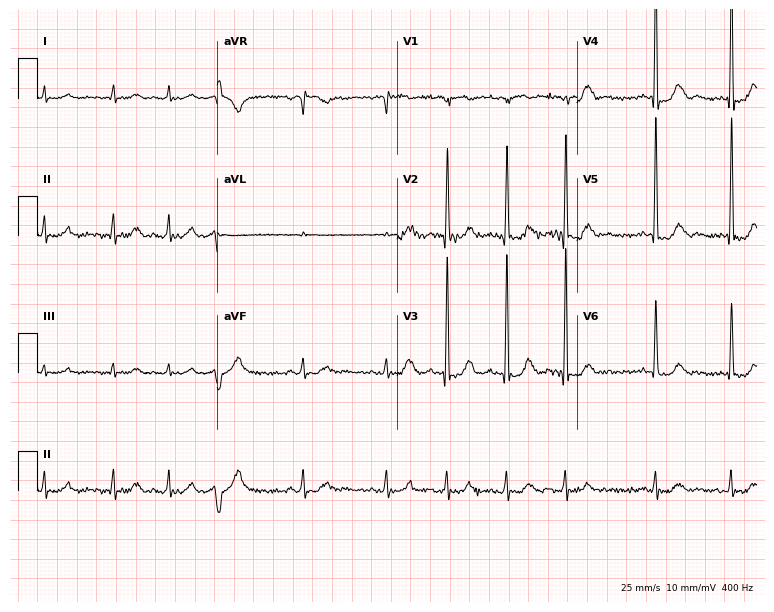
Resting 12-lead electrocardiogram. Patient: an 81-year-old man. None of these six findings is recorded: first-degree AV block, right bundle branch block, left bundle branch block, sinus bradycardia, atrial fibrillation, sinus tachycardia.